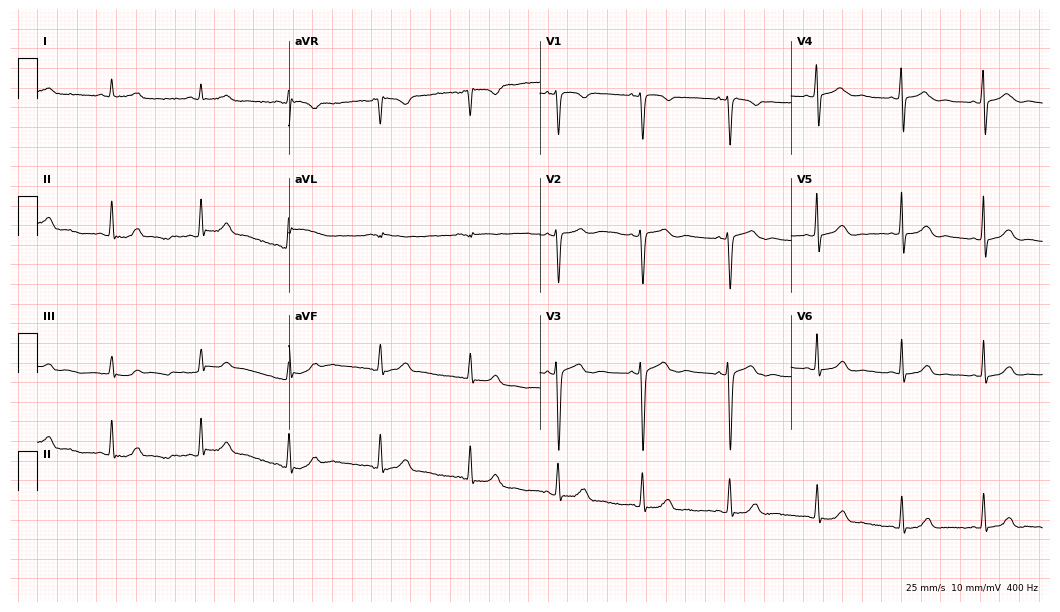
Electrocardiogram (10.2-second recording at 400 Hz), a female patient, 40 years old. Overall reading on record: normal ECG.